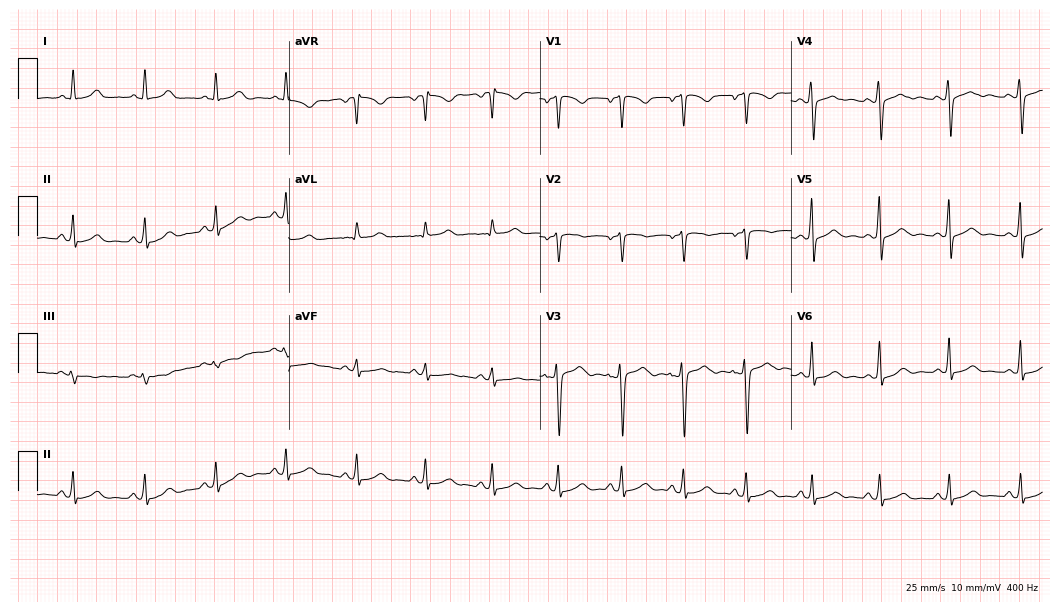
12-lead ECG from a female, 36 years old (10.2-second recording at 400 Hz). No first-degree AV block, right bundle branch block, left bundle branch block, sinus bradycardia, atrial fibrillation or sinus tachycardia recorded for this tracing.